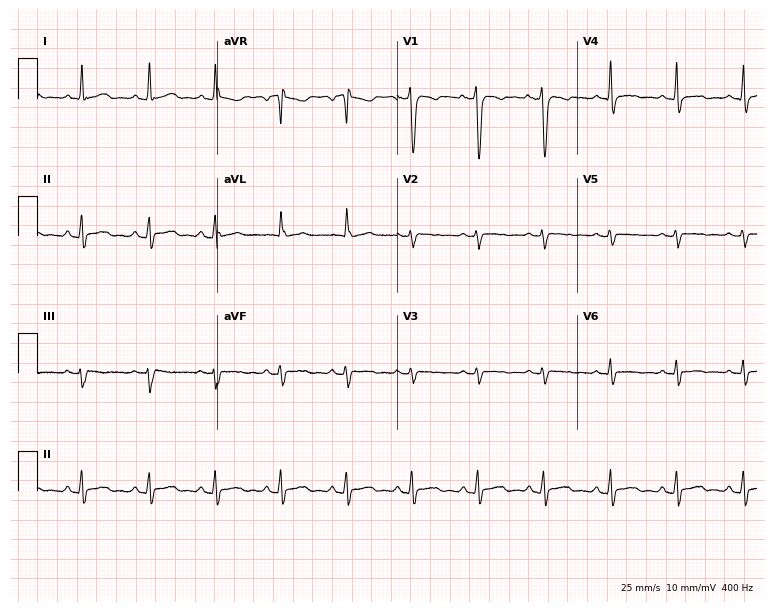
12-lead ECG (7.3-second recording at 400 Hz) from a 24-year-old male. Screened for six findings — first-degree AV block, right bundle branch block (RBBB), left bundle branch block (LBBB), sinus bradycardia, atrial fibrillation (AF), sinus tachycardia — none is recorded.